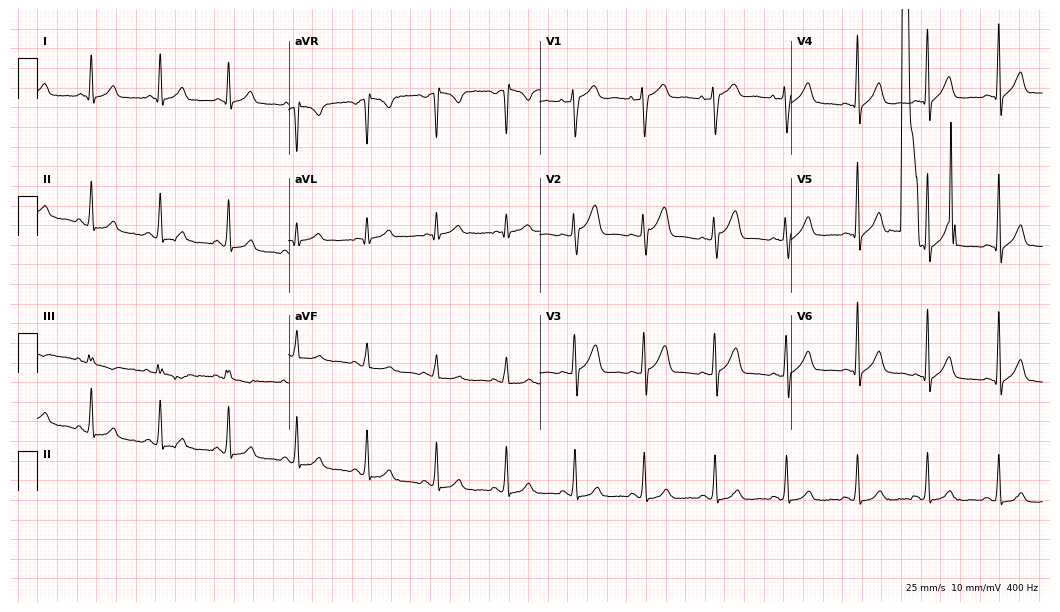
Standard 12-lead ECG recorded from a 46-year-old male (10.2-second recording at 400 Hz). None of these six findings is recorded: first-degree AV block, right bundle branch block (RBBB), left bundle branch block (LBBB), sinus bradycardia, atrial fibrillation (AF), sinus tachycardia.